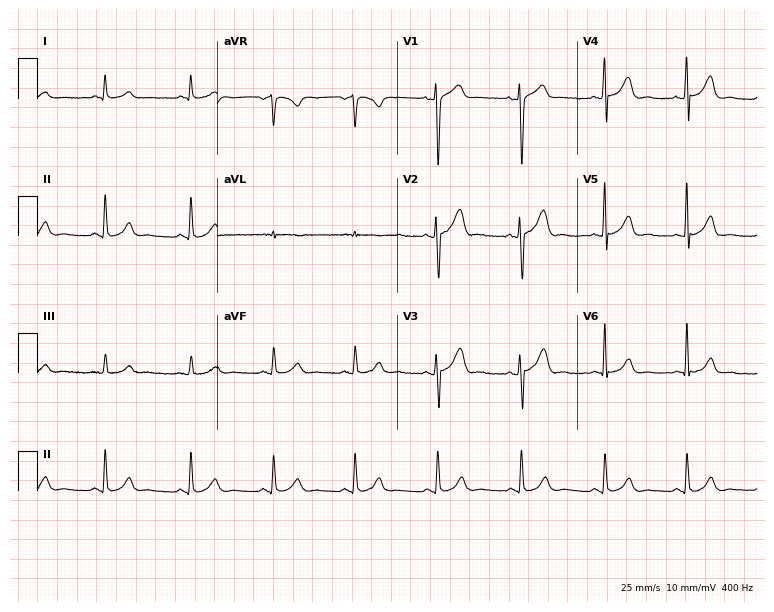
12-lead ECG from a 51-year-old male. Screened for six findings — first-degree AV block, right bundle branch block, left bundle branch block, sinus bradycardia, atrial fibrillation, sinus tachycardia — none is recorded.